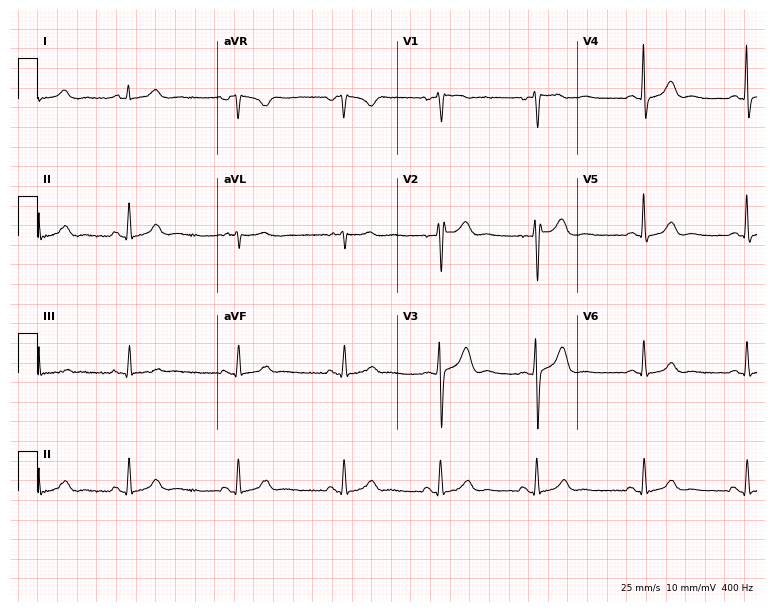
Standard 12-lead ECG recorded from a 42-year-old female (7.3-second recording at 400 Hz). None of these six findings is recorded: first-degree AV block, right bundle branch block (RBBB), left bundle branch block (LBBB), sinus bradycardia, atrial fibrillation (AF), sinus tachycardia.